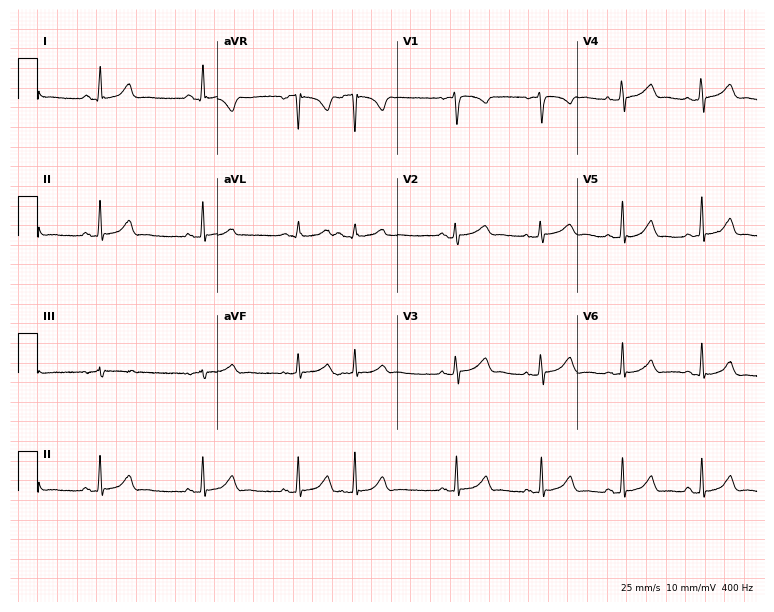
12-lead ECG from a 28-year-old female patient. No first-degree AV block, right bundle branch block, left bundle branch block, sinus bradycardia, atrial fibrillation or sinus tachycardia recorded for this tracing. Findings outside these six are not listed.